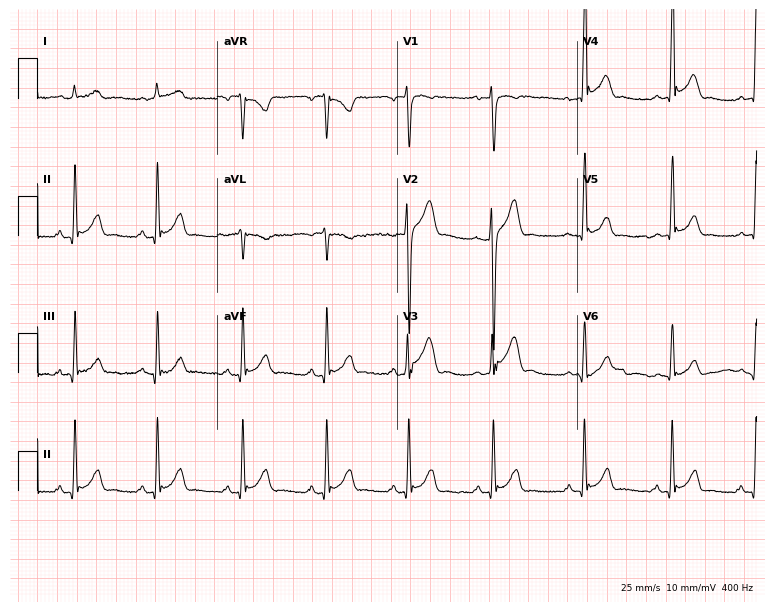
Standard 12-lead ECG recorded from a male patient, 29 years old (7.3-second recording at 400 Hz). None of these six findings is recorded: first-degree AV block, right bundle branch block (RBBB), left bundle branch block (LBBB), sinus bradycardia, atrial fibrillation (AF), sinus tachycardia.